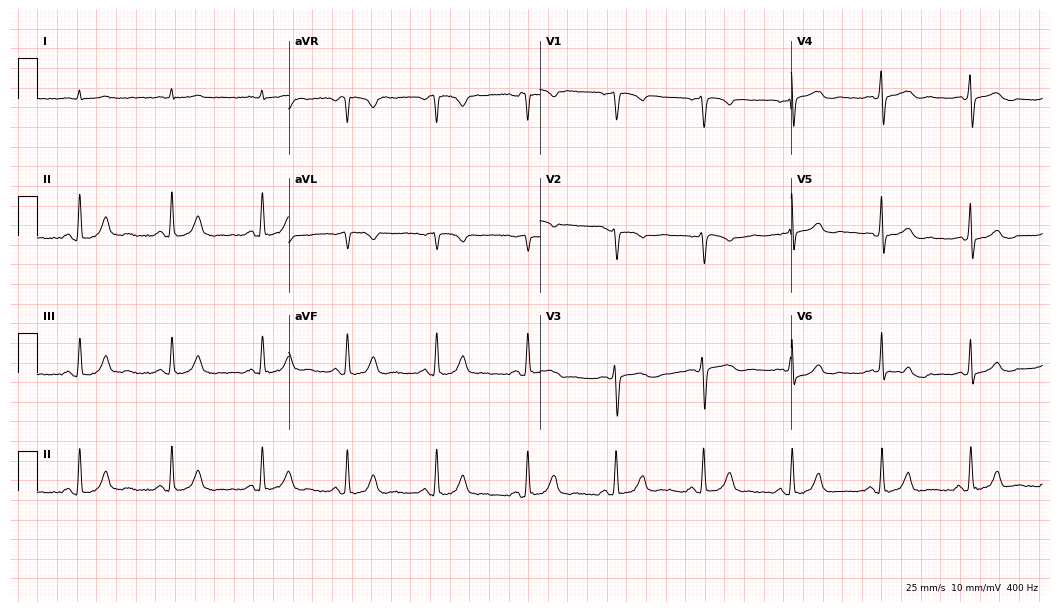
12-lead ECG (10.2-second recording at 400 Hz) from a male patient, 62 years old. Screened for six findings — first-degree AV block, right bundle branch block (RBBB), left bundle branch block (LBBB), sinus bradycardia, atrial fibrillation (AF), sinus tachycardia — none is recorded. Other findings, if any, are not listed.